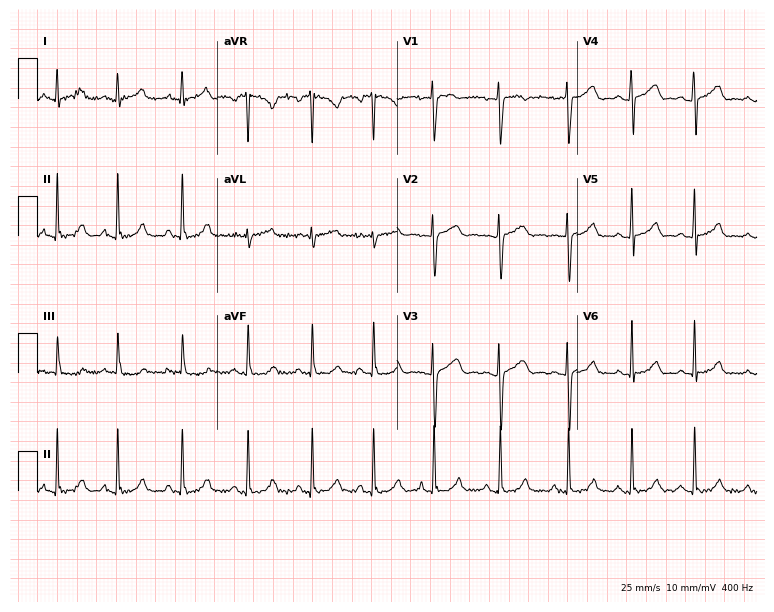
12-lead ECG (7.3-second recording at 400 Hz) from a female, 22 years old. Labelled as a normal ECG.